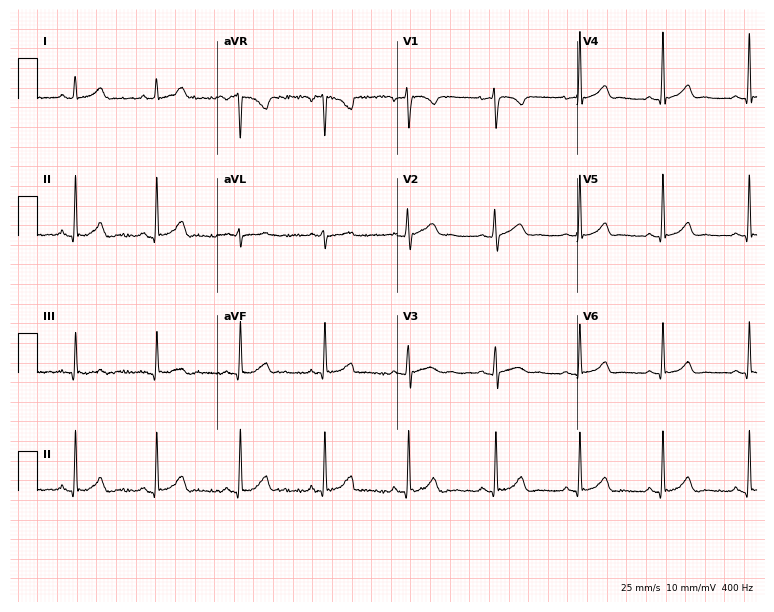
12-lead ECG from a 17-year-old female. Recorded interpretation: within normal limits.